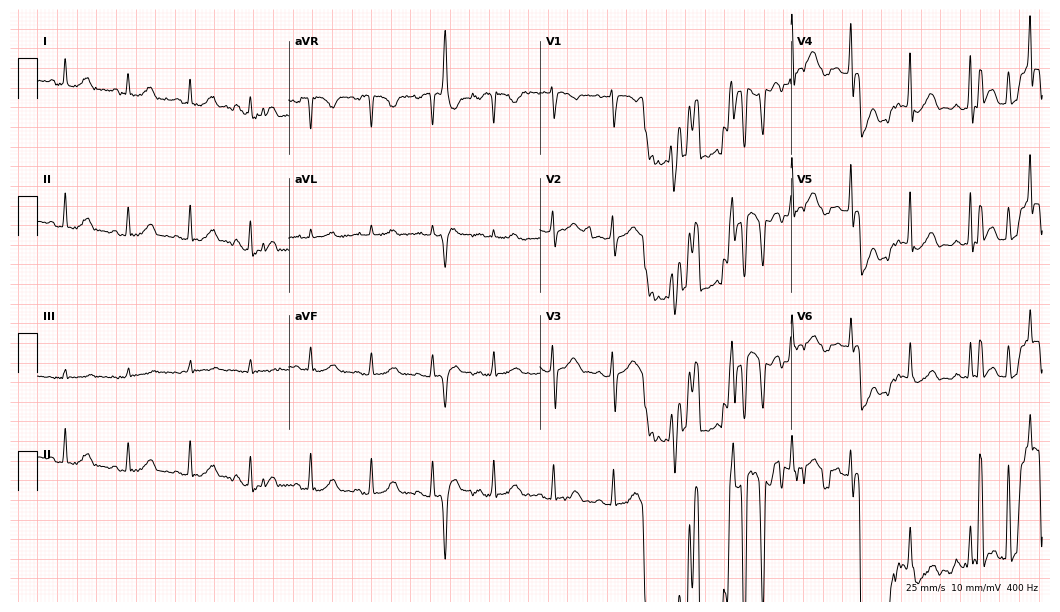
Resting 12-lead electrocardiogram (10.2-second recording at 400 Hz). Patient: a female, 25 years old. Read as a normal ECG.